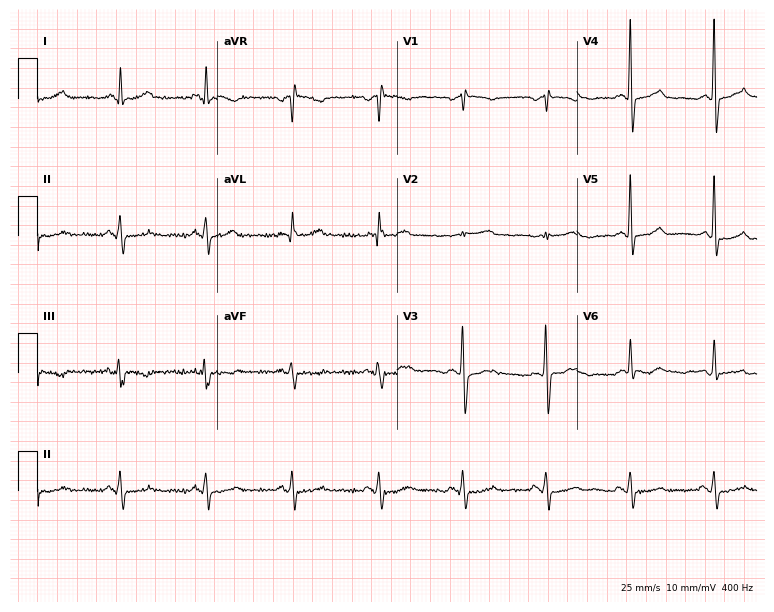
ECG — a female patient, 68 years old. Labelled as a normal ECG.